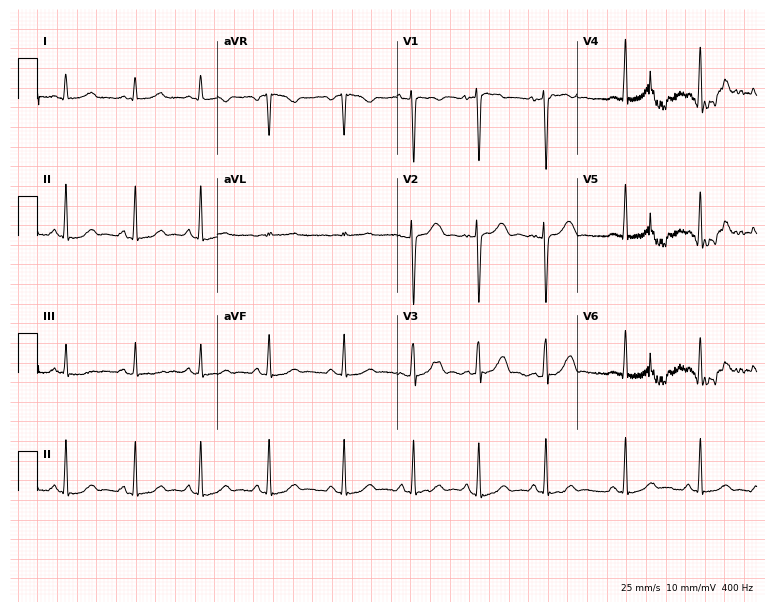
Standard 12-lead ECG recorded from a female, 22 years old (7.3-second recording at 400 Hz). Read as a normal ECG.